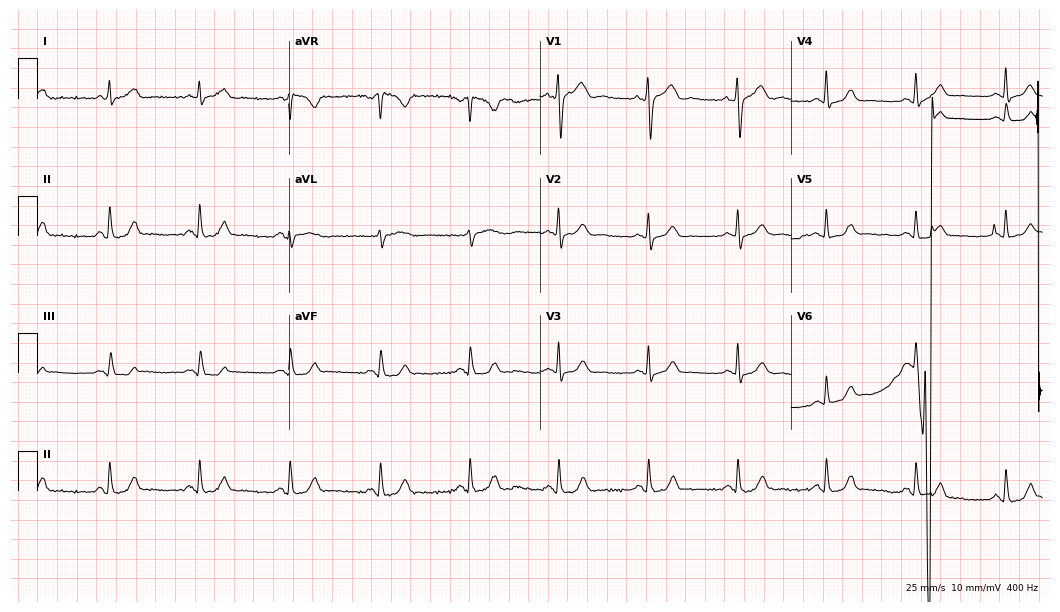
Standard 12-lead ECG recorded from a woman, 72 years old. Read as a normal ECG.